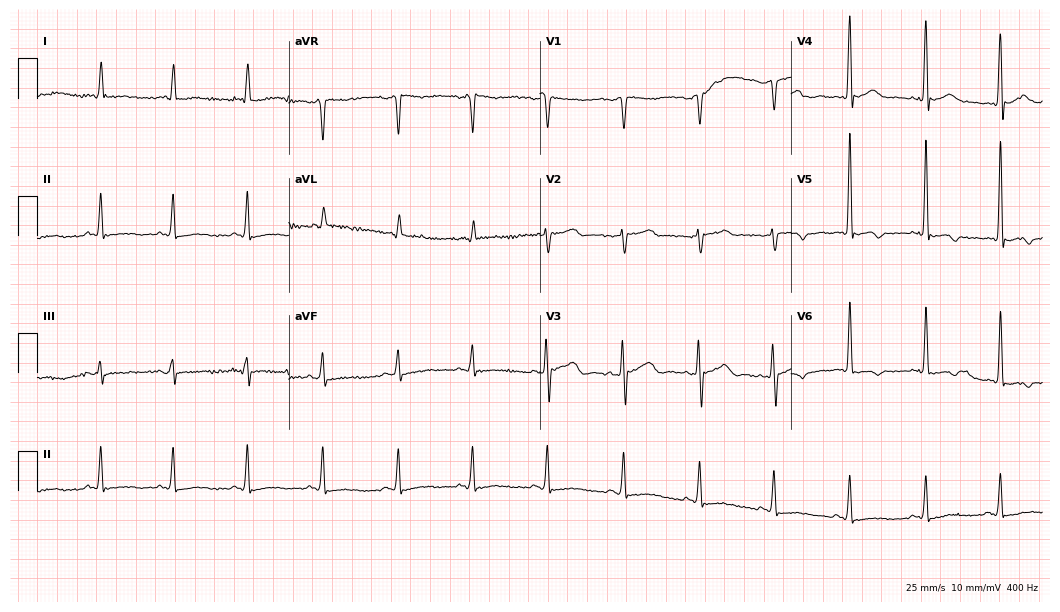
12-lead ECG from an 80-year-old female patient. Screened for six findings — first-degree AV block, right bundle branch block, left bundle branch block, sinus bradycardia, atrial fibrillation, sinus tachycardia — none is recorded.